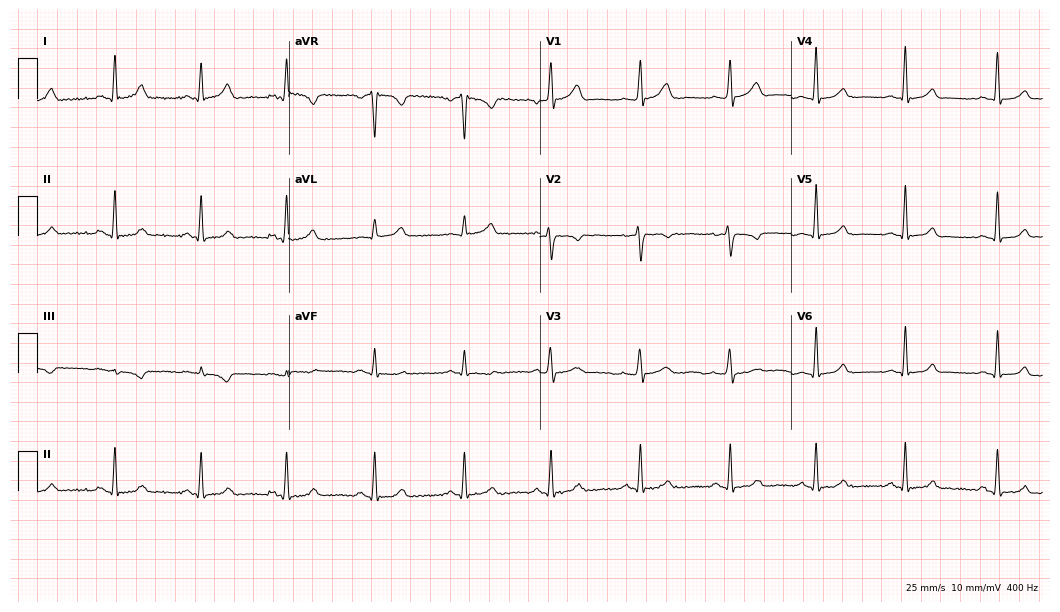
Resting 12-lead electrocardiogram. Patient: a 37-year-old female. Read as a normal ECG.